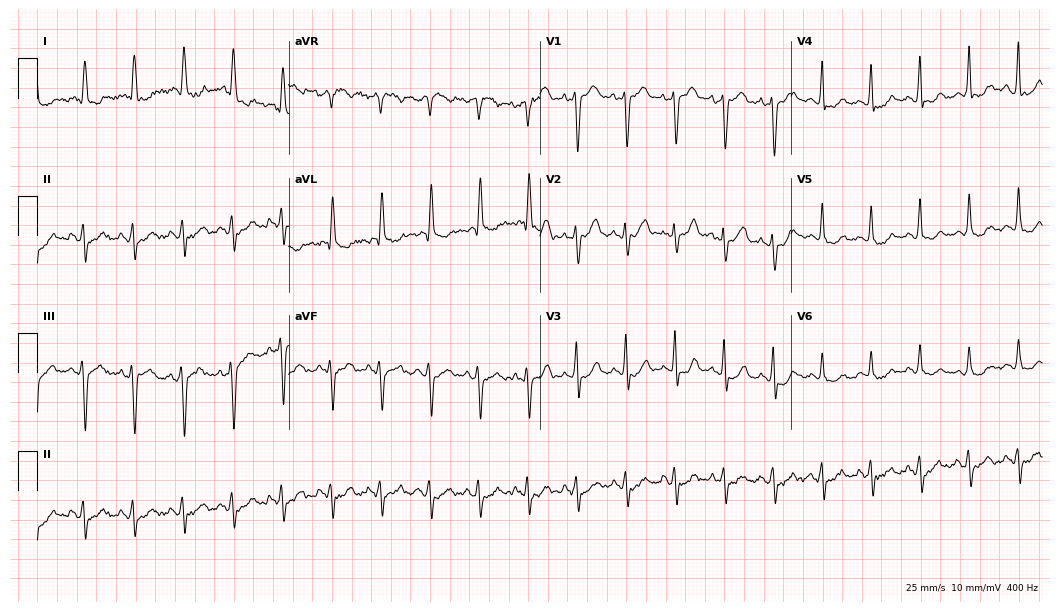
12-lead ECG from a 68-year-old female patient. Screened for six findings — first-degree AV block, right bundle branch block, left bundle branch block, sinus bradycardia, atrial fibrillation, sinus tachycardia — none is recorded.